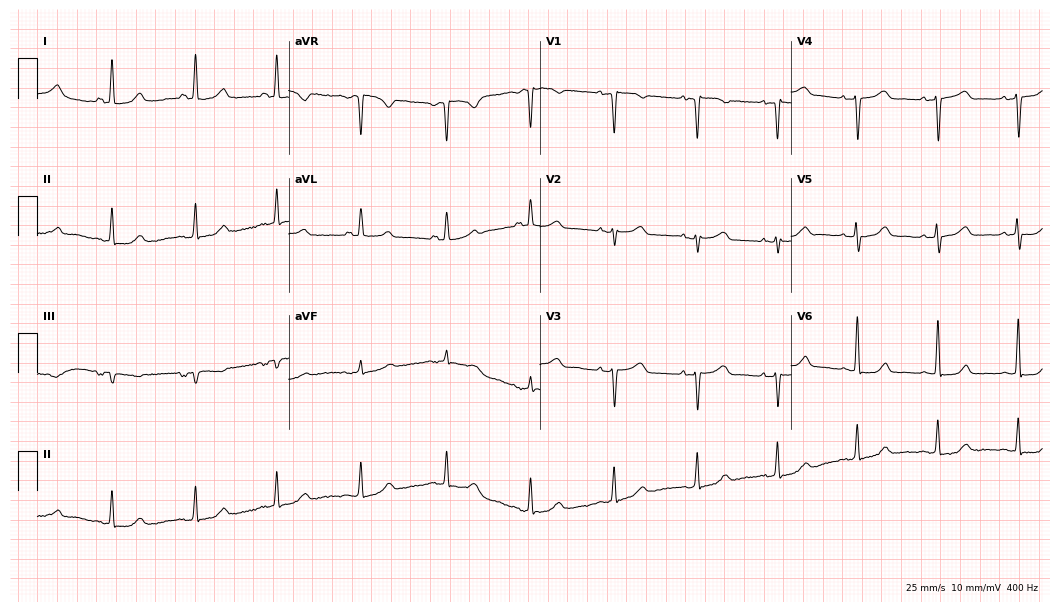
Electrocardiogram (10.2-second recording at 400 Hz), a female, 49 years old. Of the six screened findings (first-degree AV block, right bundle branch block (RBBB), left bundle branch block (LBBB), sinus bradycardia, atrial fibrillation (AF), sinus tachycardia), none is recorded. Other findings, if any, are not listed.